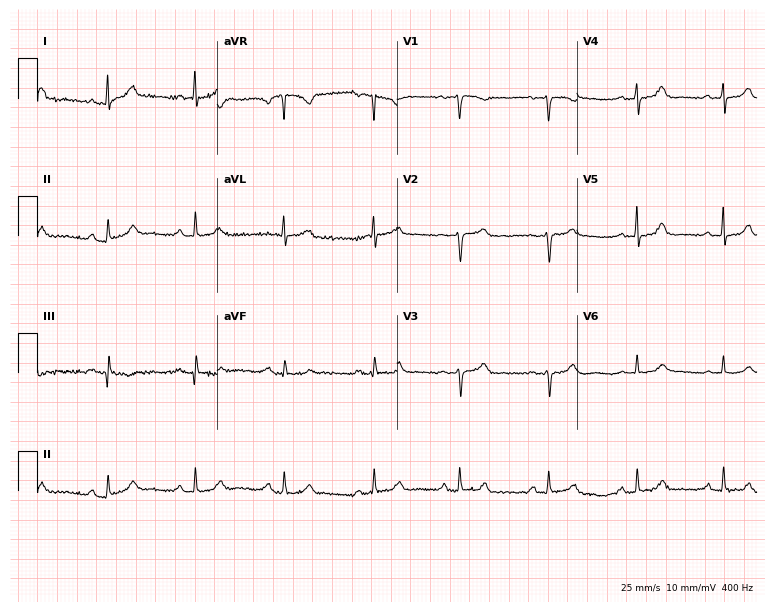
Standard 12-lead ECG recorded from a 45-year-old woman. None of these six findings is recorded: first-degree AV block, right bundle branch block, left bundle branch block, sinus bradycardia, atrial fibrillation, sinus tachycardia. Other findings, if any, are not listed.